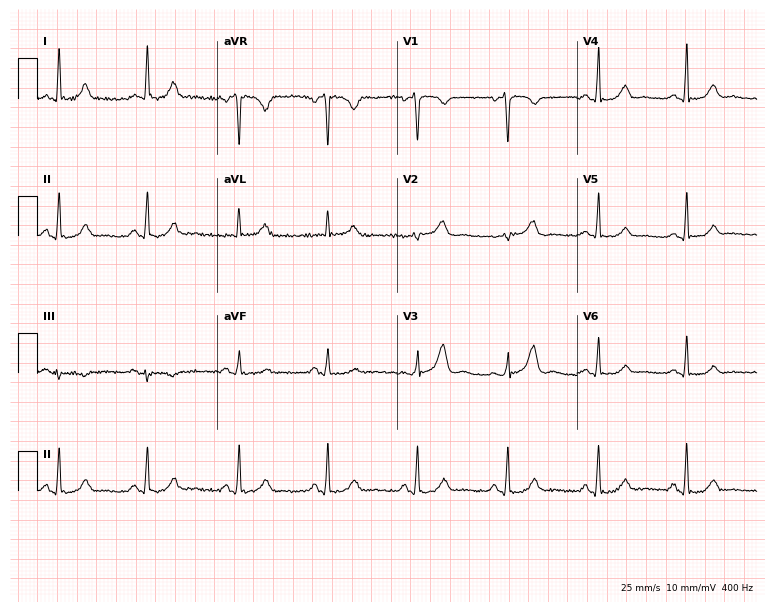
Resting 12-lead electrocardiogram (7.3-second recording at 400 Hz). Patient: a 41-year-old woman. Read as a normal ECG.